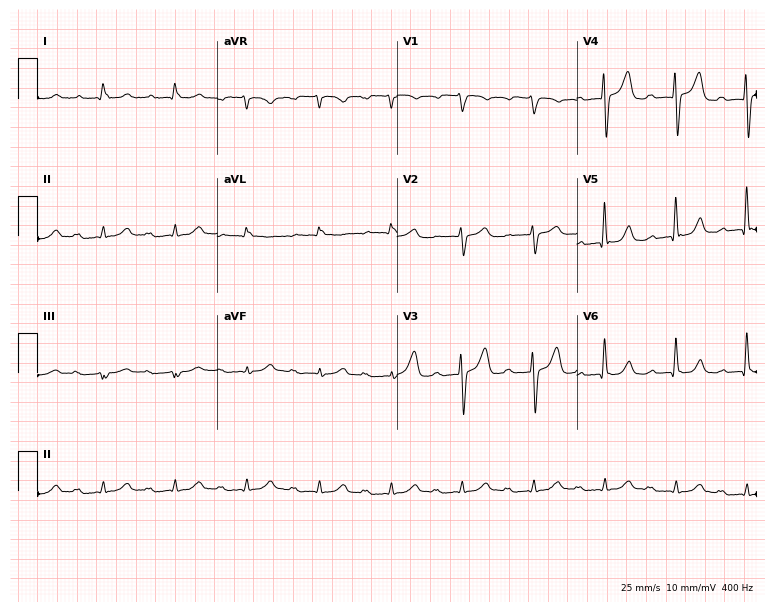
Standard 12-lead ECG recorded from an 81-year-old male (7.3-second recording at 400 Hz). None of these six findings is recorded: first-degree AV block, right bundle branch block, left bundle branch block, sinus bradycardia, atrial fibrillation, sinus tachycardia. Only these six findings were labelled.